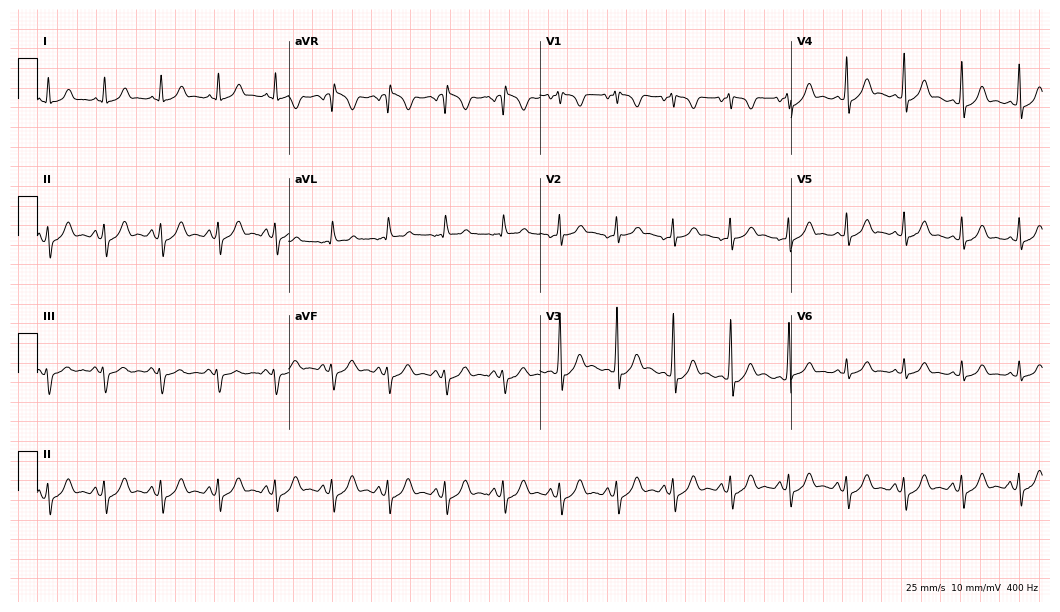
Electrocardiogram (10.2-second recording at 400 Hz), a female patient, 28 years old. Of the six screened findings (first-degree AV block, right bundle branch block (RBBB), left bundle branch block (LBBB), sinus bradycardia, atrial fibrillation (AF), sinus tachycardia), none is recorded. Only these six findings were labelled.